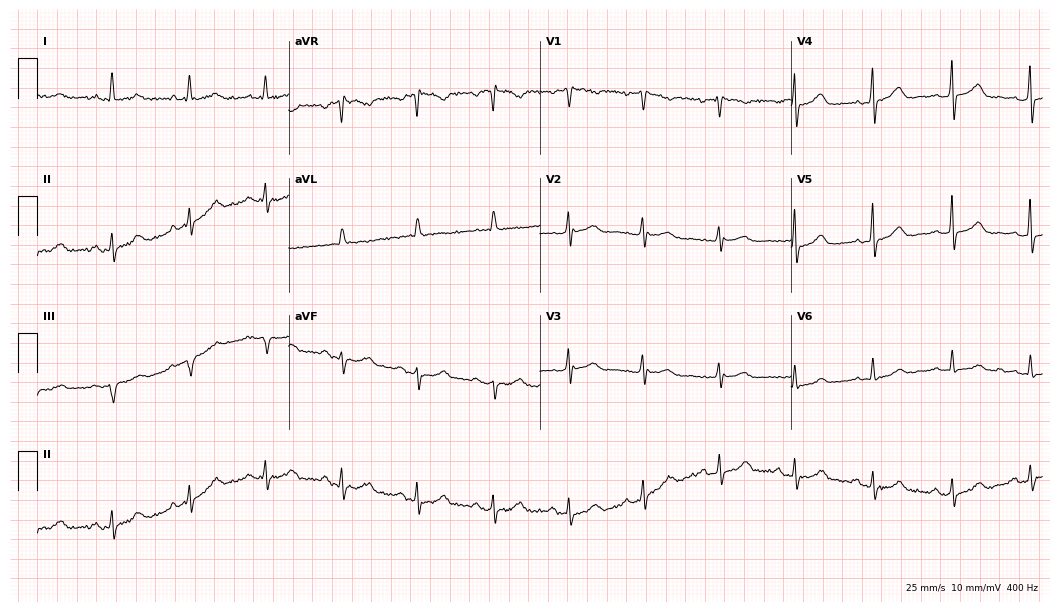
ECG (10.2-second recording at 400 Hz) — a female, 56 years old. Labelled as a normal ECG.